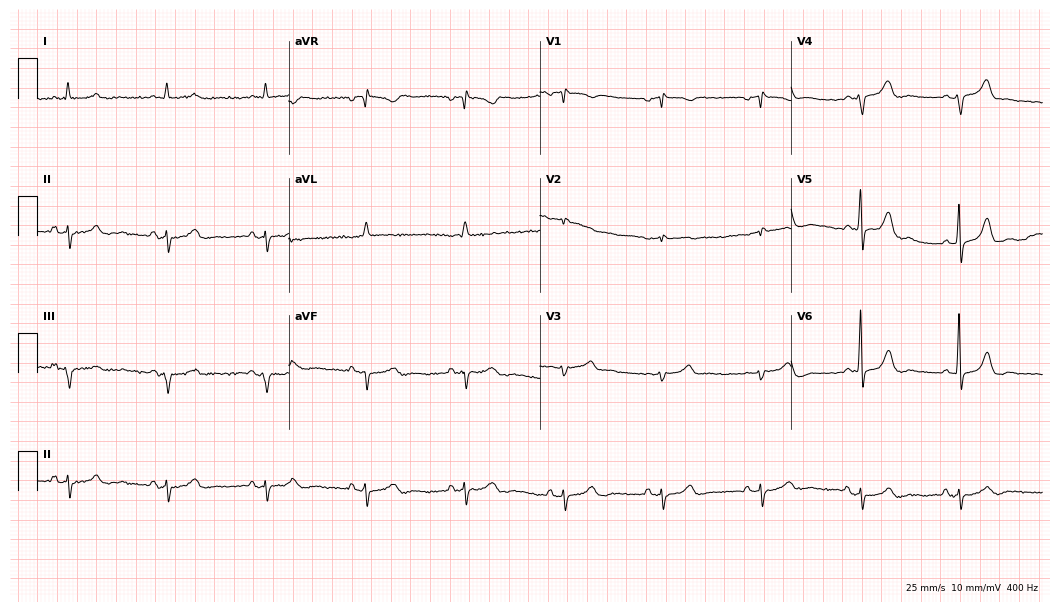
ECG — a male patient, 83 years old. Labelled as a normal ECG.